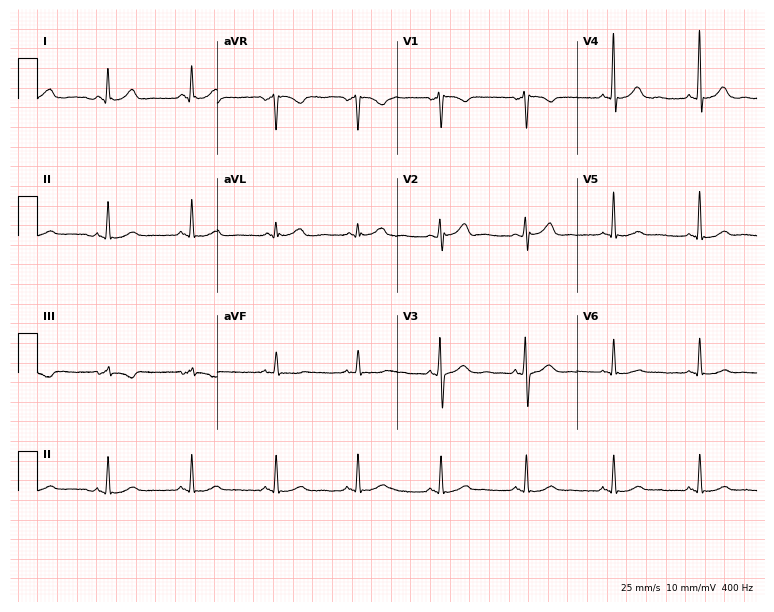
ECG — a male patient, 57 years old. Screened for six findings — first-degree AV block, right bundle branch block (RBBB), left bundle branch block (LBBB), sinus bradycardia, atrial fibrillation (AF), sinus tachycardia — none is recorded.